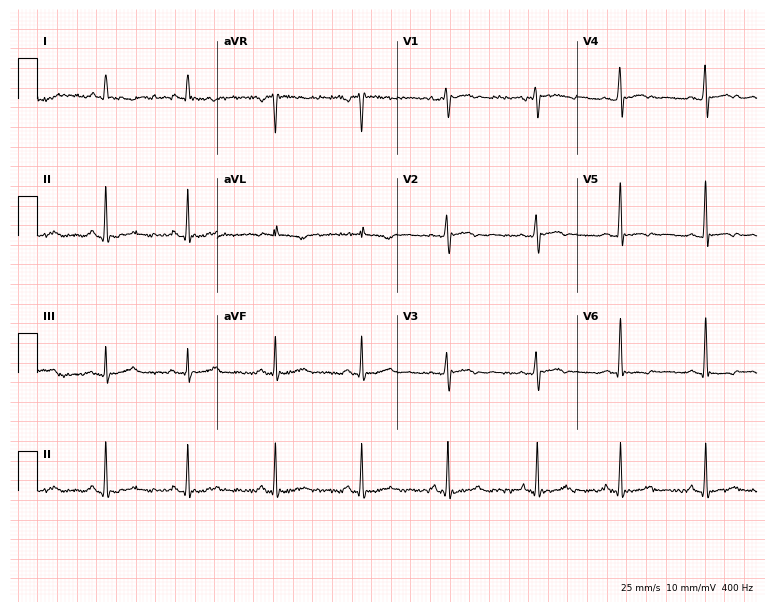
Resting 12-lead electrocardiogram. Patient: a 71-year-old female. None of these six findings is recorded: first-degree AV block, right bundle branch block (RBBB), left bundle branch block (LBBB), sinus bradycardia, atrial fibrillation (AF), sinus tachycardia. Findings outside these six are not listed.